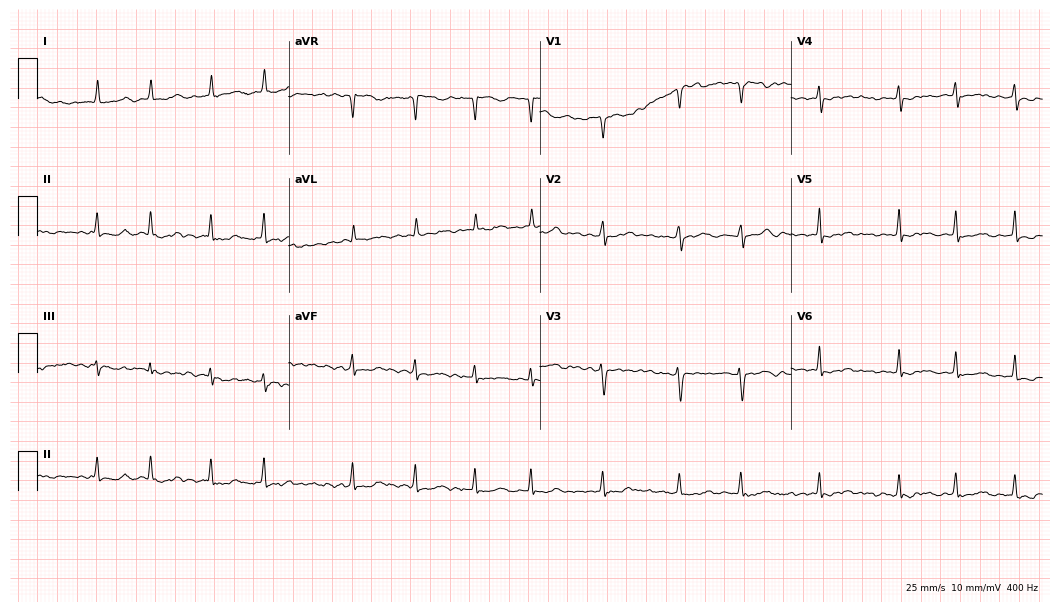
Standard 12-lead ECG recorded from a woman, 65 years old (10.2-second recording at 400 Hz). The tracing shows atrial fibrillation.